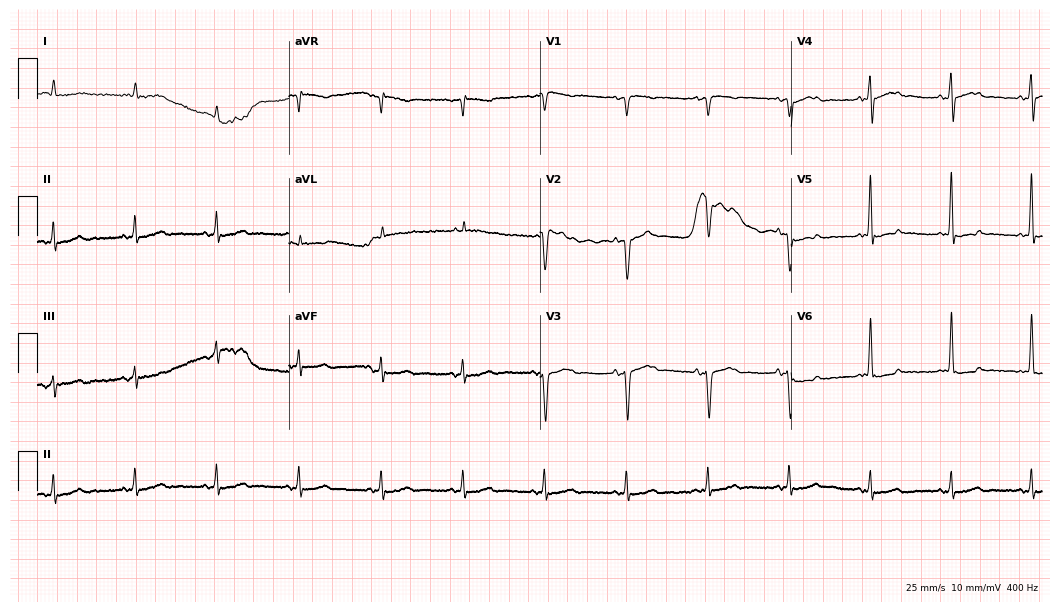
Resting 12-lead electrocardiogram. Patient: a male, 75 years old. None of these six findings is recorded: first-degree AV block, right bundle branch block, left bundle branch block, sinus bradycardia, atrial fibrillation, sinus tachycardia.